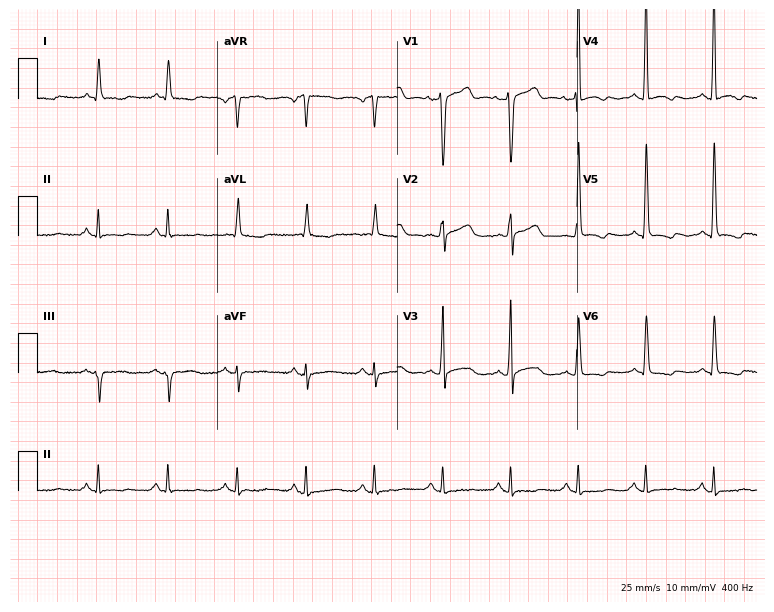
Standard 12-lead ECG recorded from a male patient, 72 years old (7.3-second recording at 400 Hz). None of these six findings is recorded: first-degree AV block, right bundle branch block (RBBB), left bundle branch block (LBBB), sinus bradycardia, atrial fibrillation (AF), sinus tachycardia. Only these six findings were labelled.